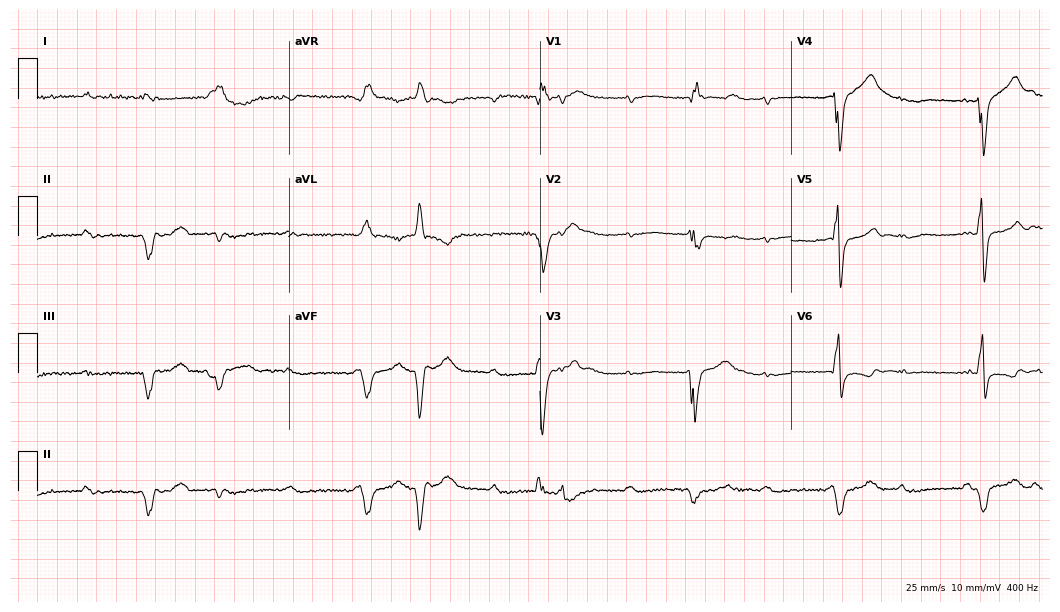
ECG (10.2-second recording at 400 Hz) — a 50-year-old male patient. Screened for six findings — first-degree AV block, right bundle branch block (RBBB), left bundle branch block (LBBB), sinus bradycardia, atrial fibrillation (AF), sinus tachycardia — none is recorded. Only these six findings were labelled.